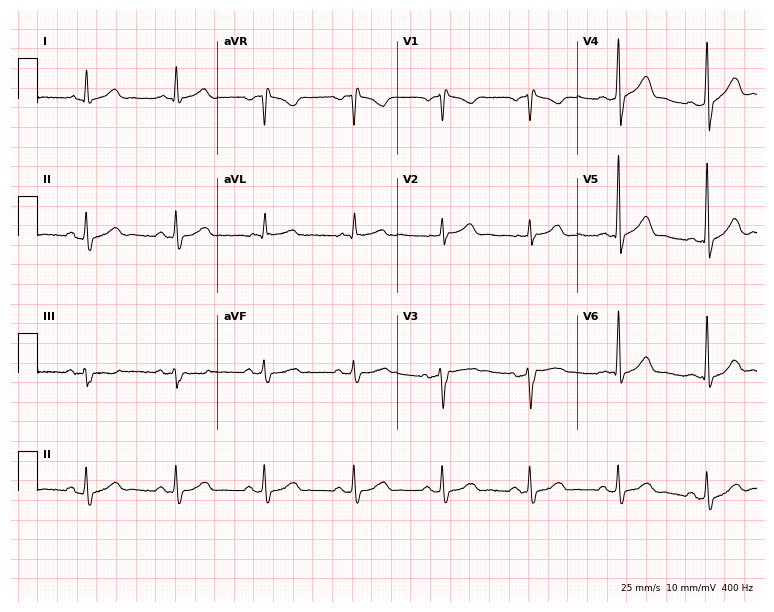
Electrocardiogram, a male, 61 years old. Of the six screened findings (first-degree AV block, right bundle branch block, left bundle branch block, sinus bradycardia, atrial fibrillation, sinus tachycardia), none is recorded.